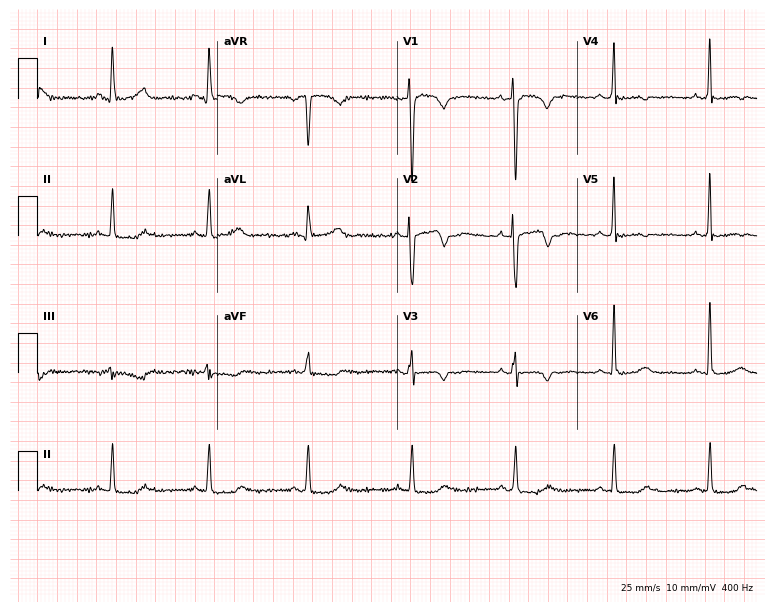
Standard 12-lead ECG recorded from a woman, 45 years old. None of these six findings is recorded: first-degree AV block, right bundle branch block, left bundle branch block, sinus bradycardia, atrial fibrillation, sinus tachycardia.